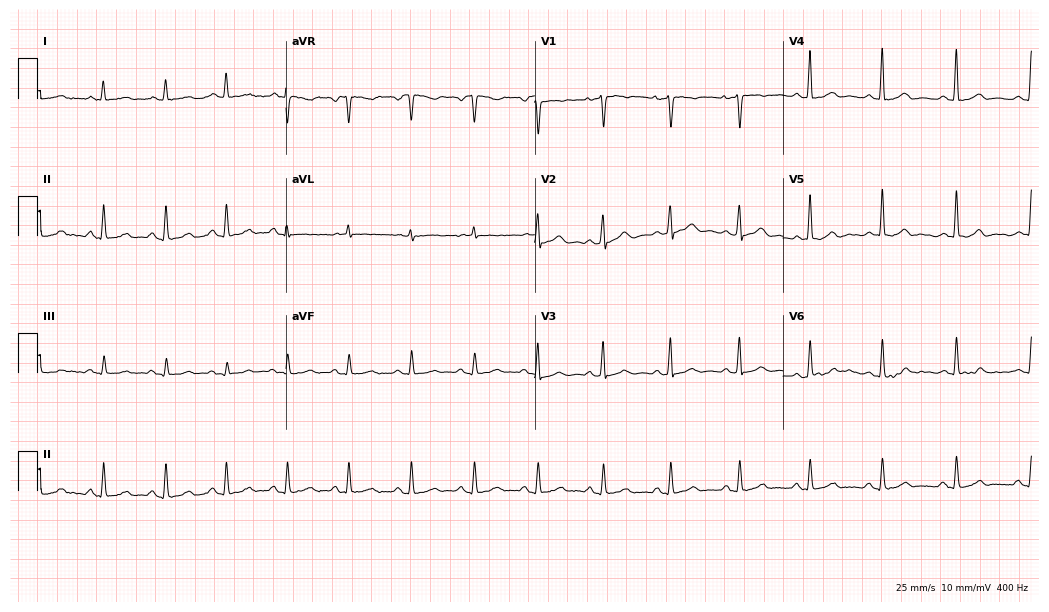
12-lead ECG from a 58-year-old woman. No first-degree AV block, right bundle branch block (RBBB), left bundle branch block (LBBB), sinus bradycardia, atrial fibrillation (AF) or sinus tachycardia recorded for this tracing. Other findings, if any, are not listed.